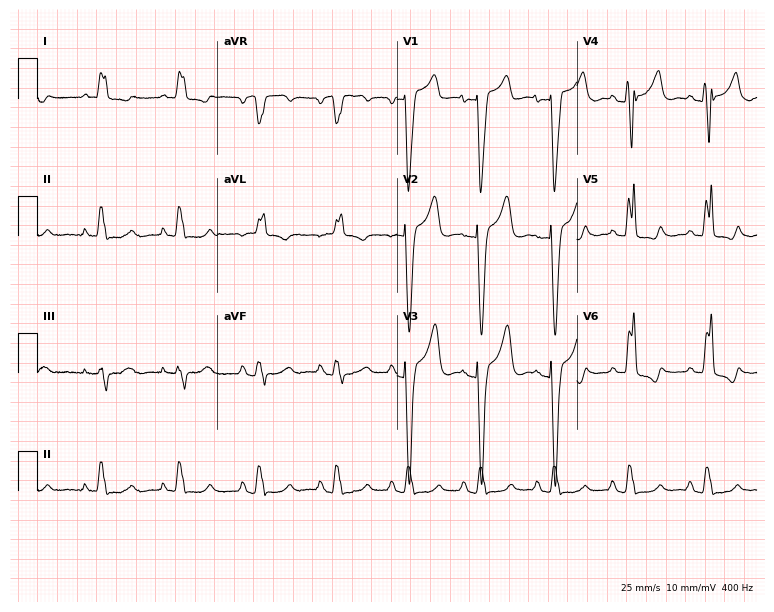
Electrocardiogram, a 76-year-old woman. Interpretation includes left bundle branch block.